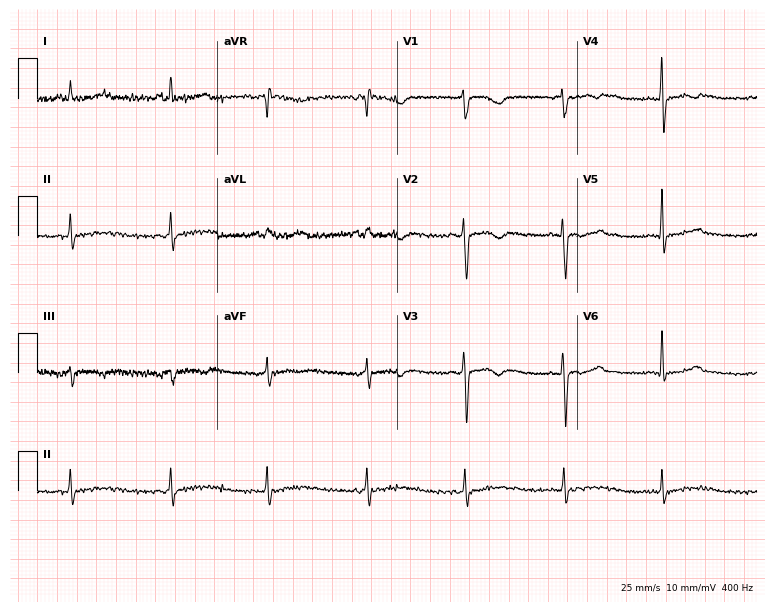
ECG (7.3-second recording at 400 Hz) — a 36-year-old female. Screened for six findings — first-degree AV block, right bundle branch block, left bundle branch block, sinus bradycardia, atrial fibrillation, sinus tachycardia — none is recorded.